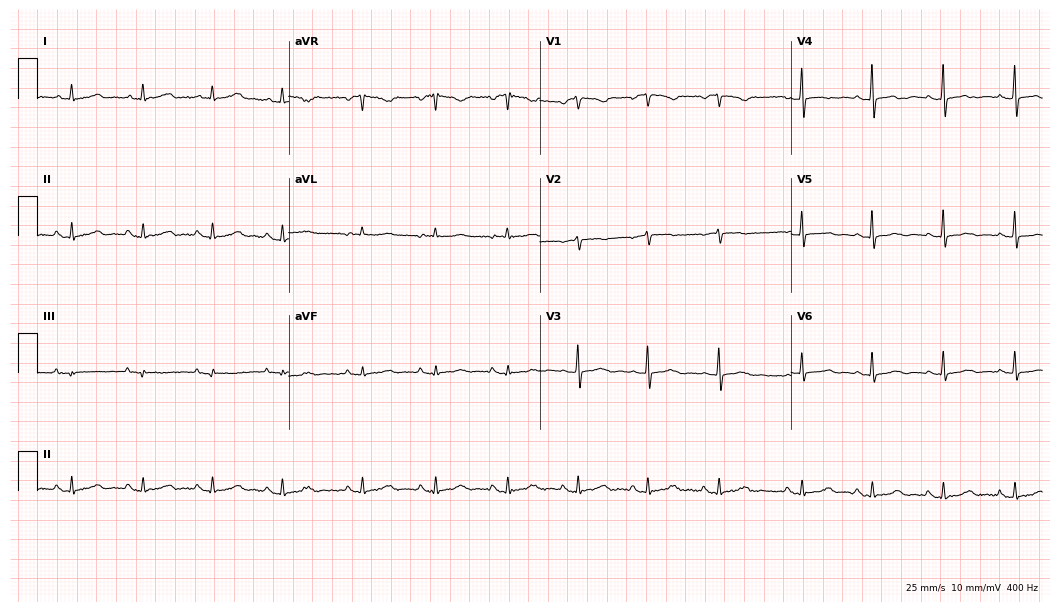
ECG — a 75-year-old female. Labelled as a normal ECG.